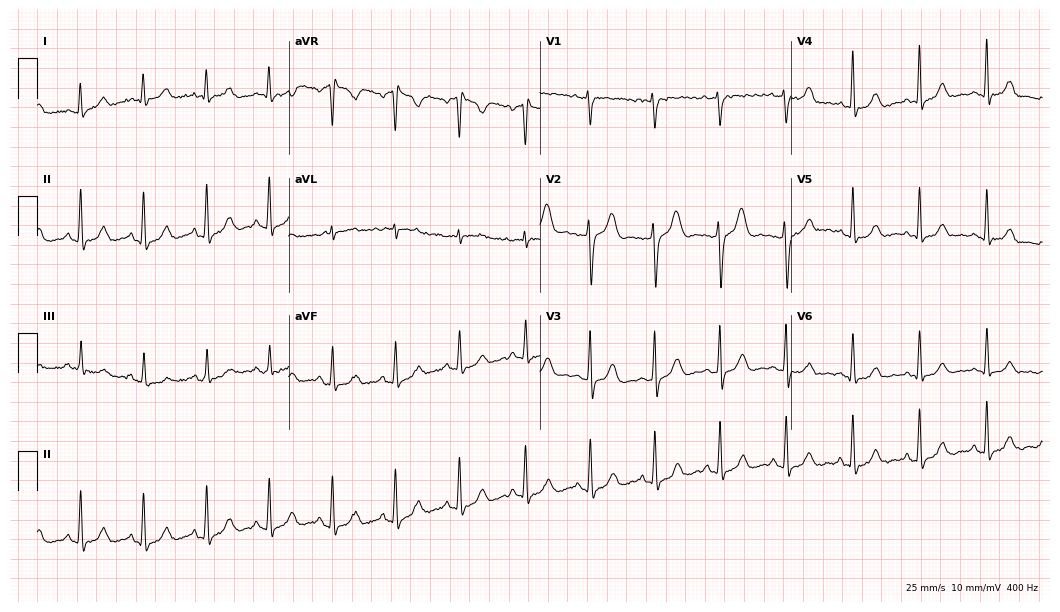
12-lead ECG from a 45-year-old female (10.2-second recording at 400 Hz). Recorded interpretation: within normal limits.